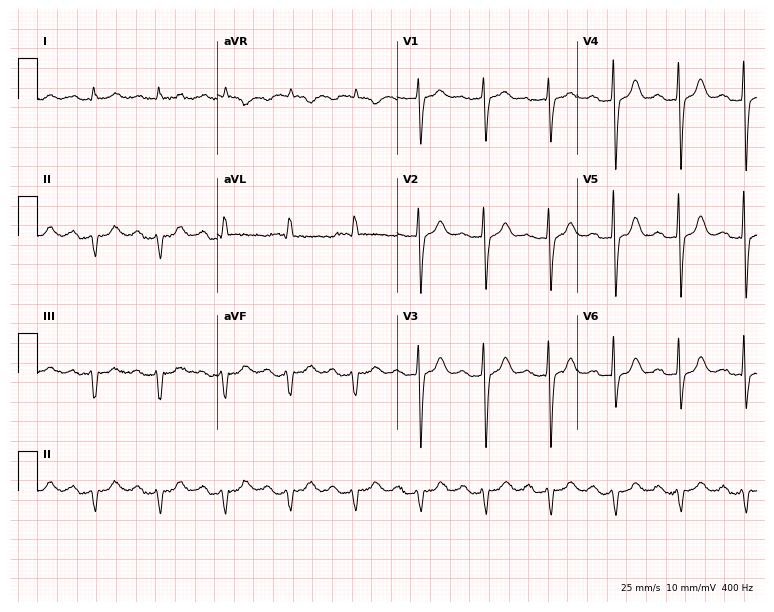
Resting 12-lead electrocardiogram (7.3-second recording at 400 Hz). Patient: a male, 87 years old. The tracing shows first-degree AV block.